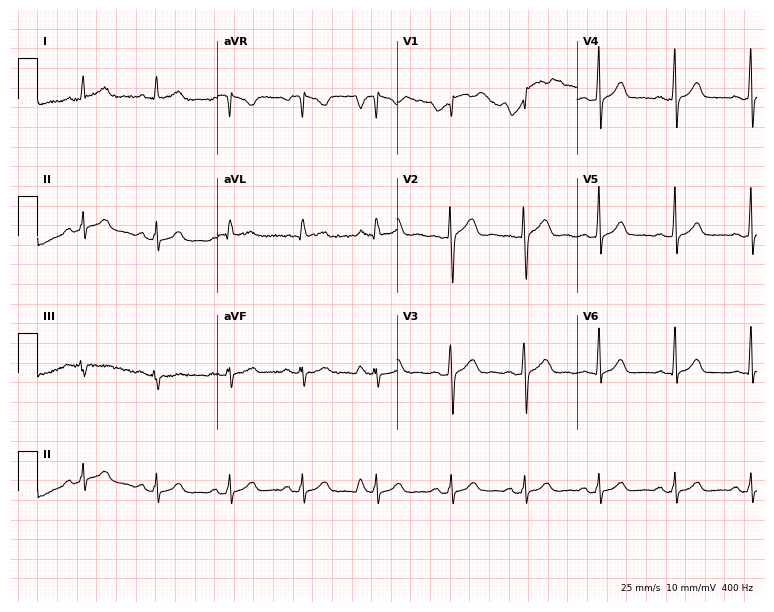
12-lead ECG from a 35-year-old woman. Recorded interpretation: within normal limits.